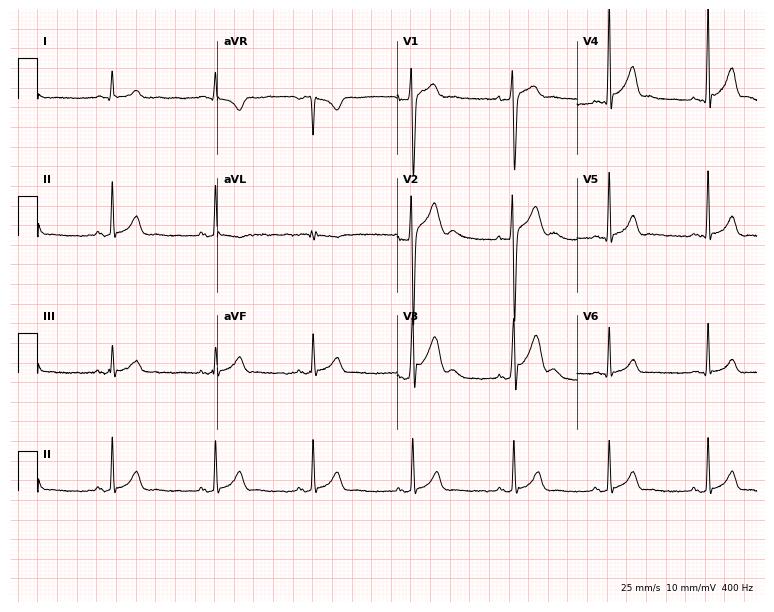
Electrocardiogram (7.3-second recording at 400 Hz), a man, 19 years old. Of the six screened findings (first-degree AV block, right bundle branch block, left bundle branch block, sinus bradycardia, atrial fibrillation, sinus tachycardia), none is recorded.